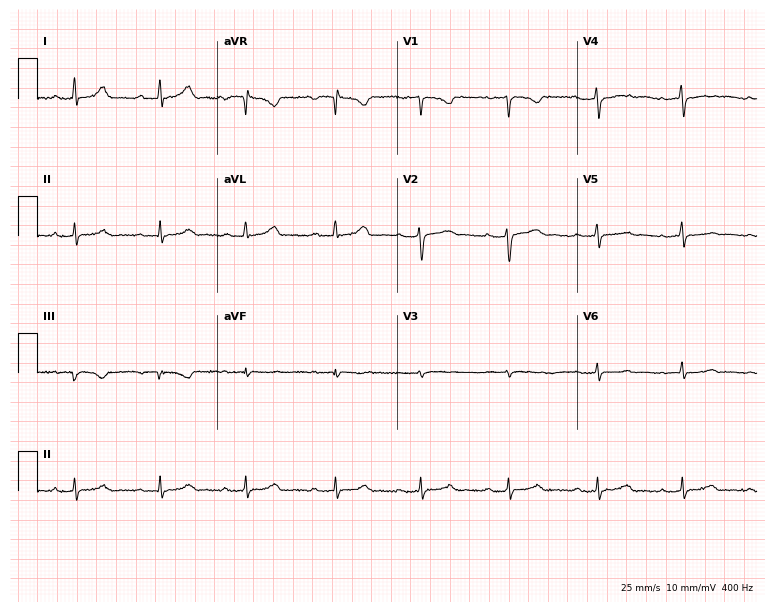
Standard 12-lead ECG recorded from a 30-year-old woman (7.3-second recording at 400 Hz). The tracing shows first-degree AV block.